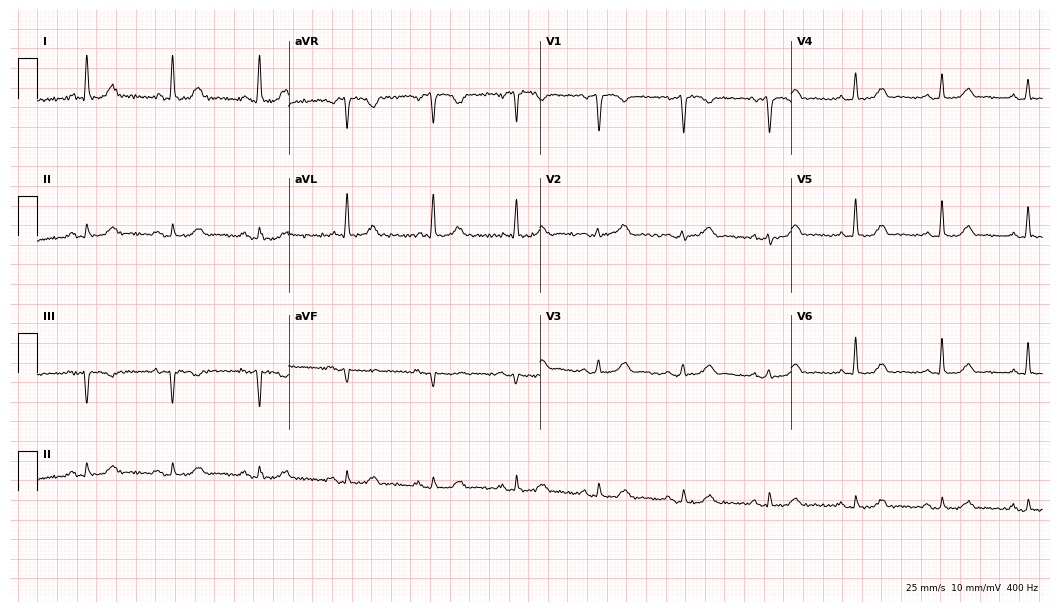
12-lead ECG (10.2-second recording at 400 Hz) from a male, 70 years old. Labelled as a normal ECG.